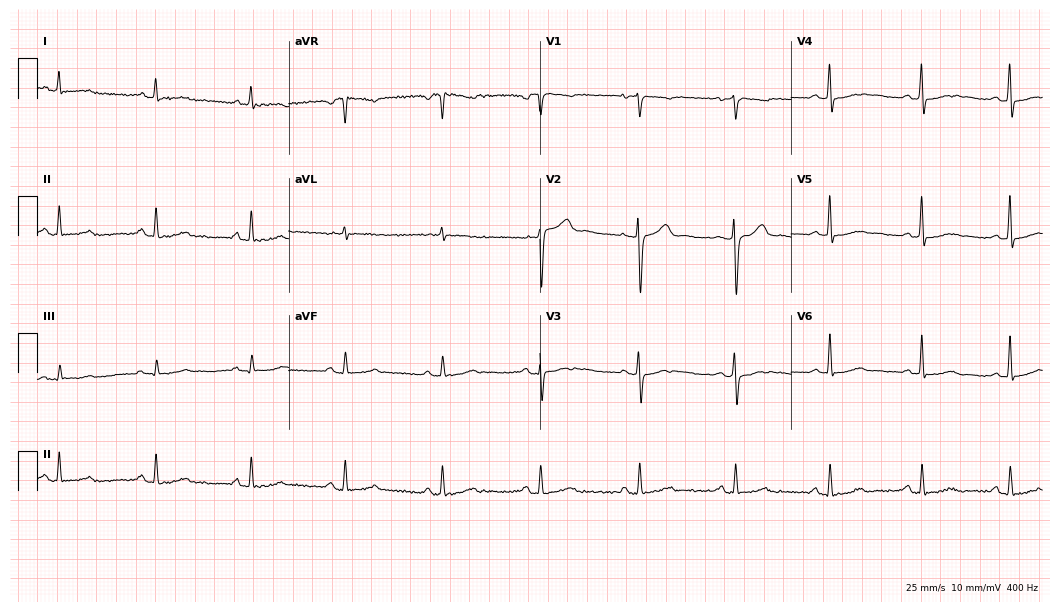
12-lead ECG from a 43-year-old woman. Screened for six findings — first-degree AV block, right bundle branch block, left bundle branch block, sinus bradycardia, atrial fibrillation, sinus tachycardia — none is recorded.